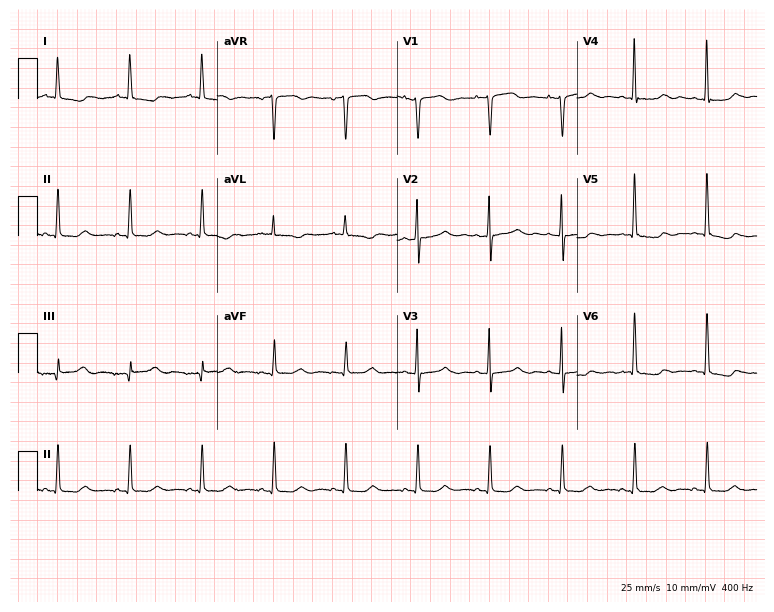
12-lead ECG from a female patient, 62 years old. No first-degree AV block, right bundle branch block (RBBB), left bundle branch block (LBBB), sinus bradycardia, atrial fibrillation (AF) or sinus tachycardia recorded for this tracing.